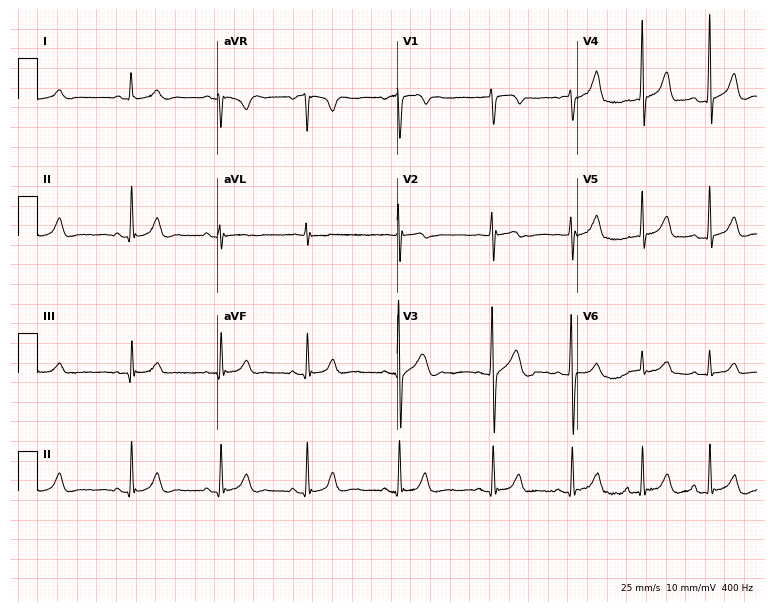
Standard 12-lead ECG recorded from a male, 24 years old (7.3-second recording at 400 Hz). None of these six findings is recorded: first-degree AV block, right bundle branch block, left bundle branch block, sinus bradycardia, atrial fibrillation, sinus tachycardia. Other findings, if any, are not listed.